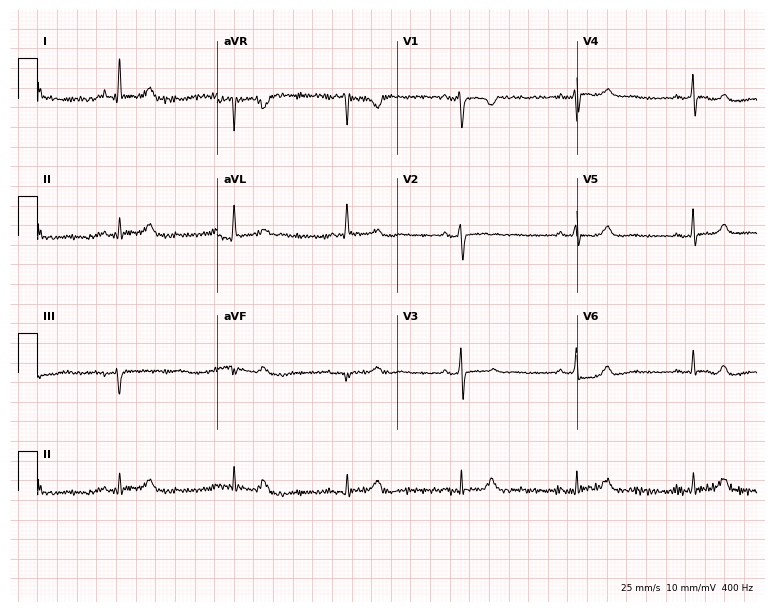
Resting 12-lead electrocardiogram. Patient: a 56-year-old woman. None of these six findings is recorded: first-degree AV block, right bundle branch block, left bundle branch block, sinus bradycardia, atrial fibrillation, sinus tachycardia. Findings outside these six are not listed.